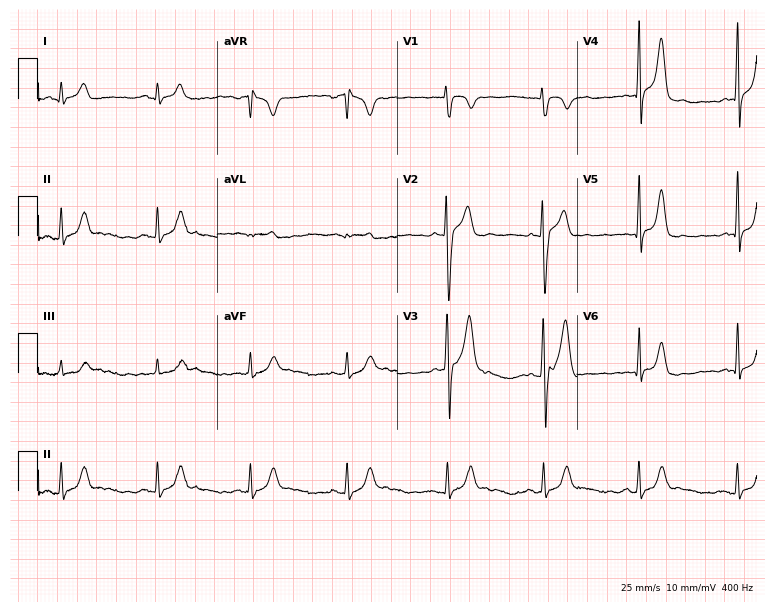
ECG (7.3-second recording at 400 Hz) — a man, 20 years old. Labelled as a normal ECG.